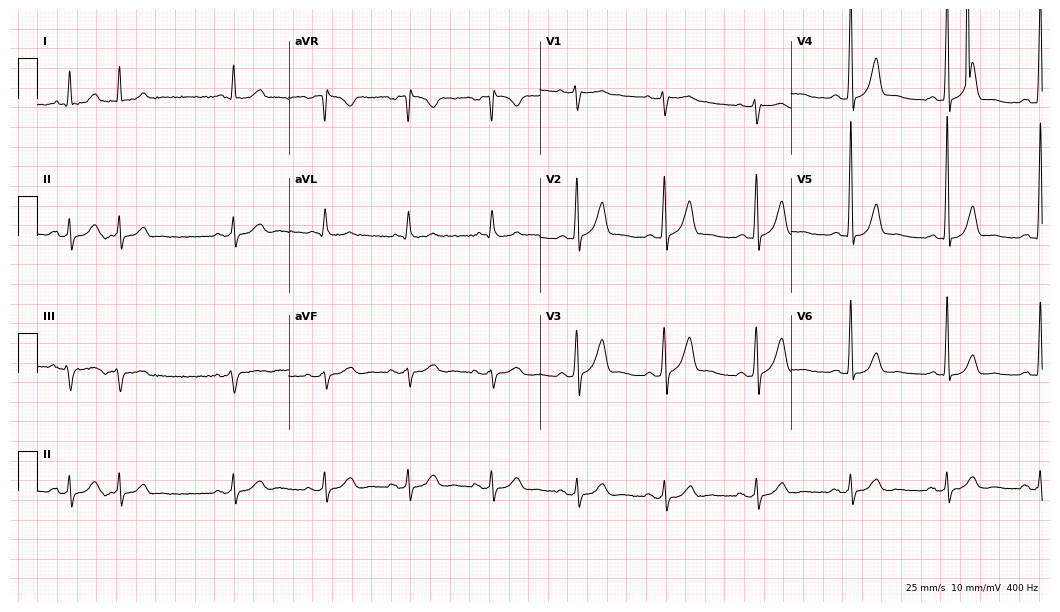
Resting 12-lead electrocardiogram. Patient: a man, 73 years old. None of these six findings is recorded: first-degree AV block, right bundle branch block (RBBB), left bundle branch block (LBBB), sinus bradycardia, atrial fibrillation (AF), sinus tachycardia.